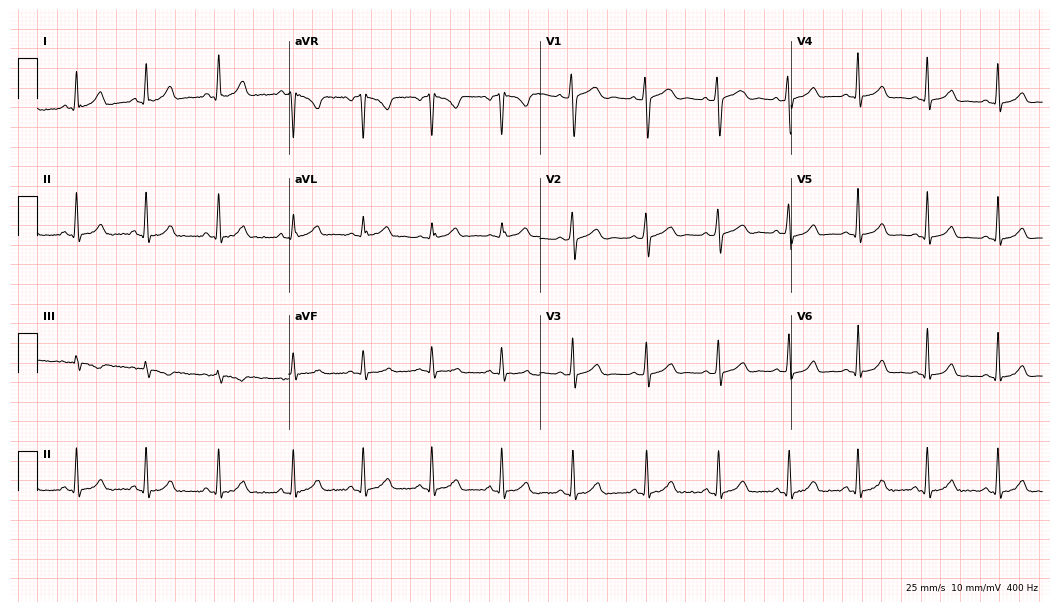
12-lead ECG from a female patient, 25 years old. Labelled as a normal ECG.